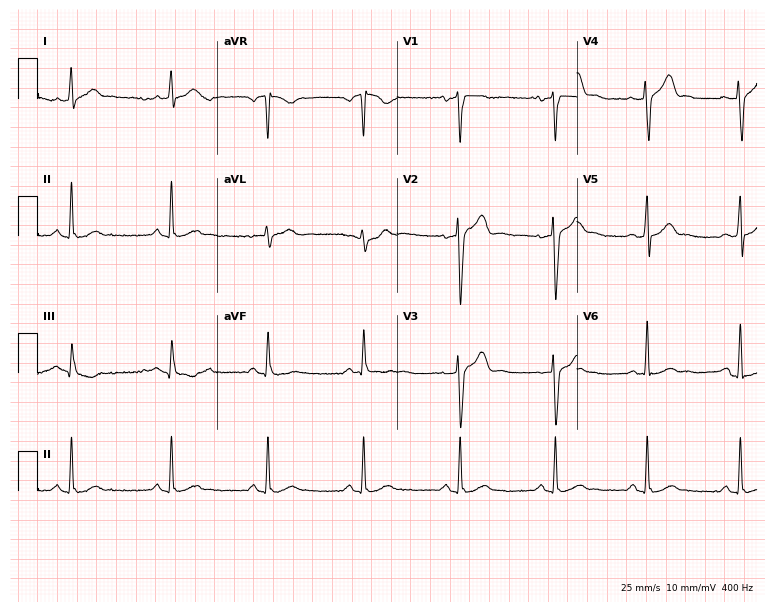
ECG — a 33-year-old male. Labelled as a normal ECG.